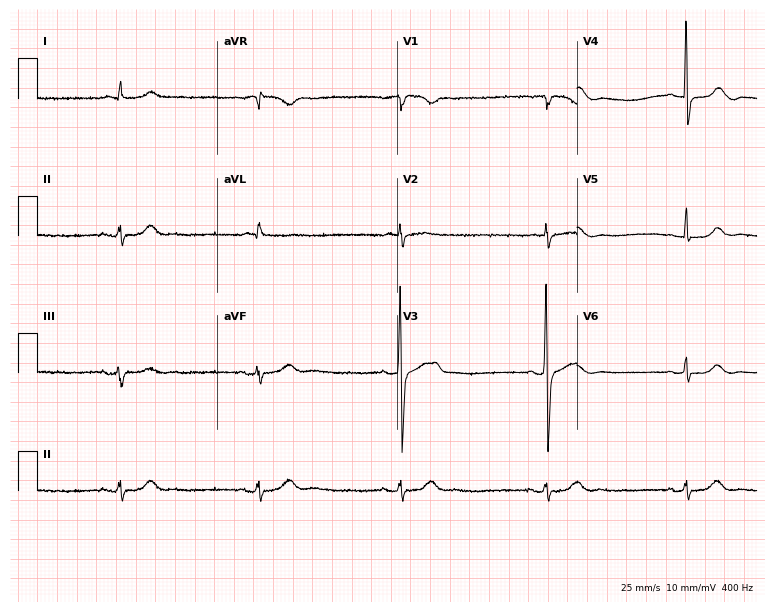
Resting 12-lead electrocardiogram (7.3-second recording at 400 Hz). Patient: a 73-year-old male. The tracing shows sinus bradycardia (a sinus rate of 50 beats per minute or less).